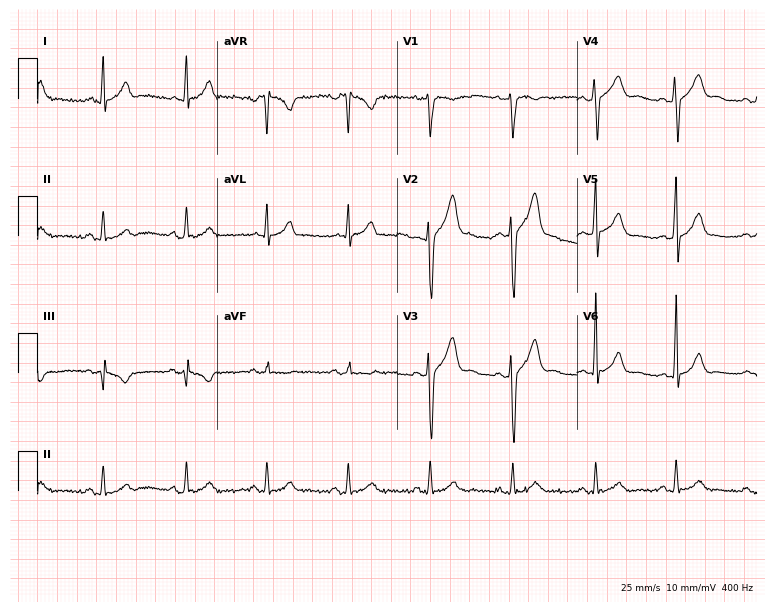
12-lead ECG from a man, 32 years old. Labelled as a normal ECG.